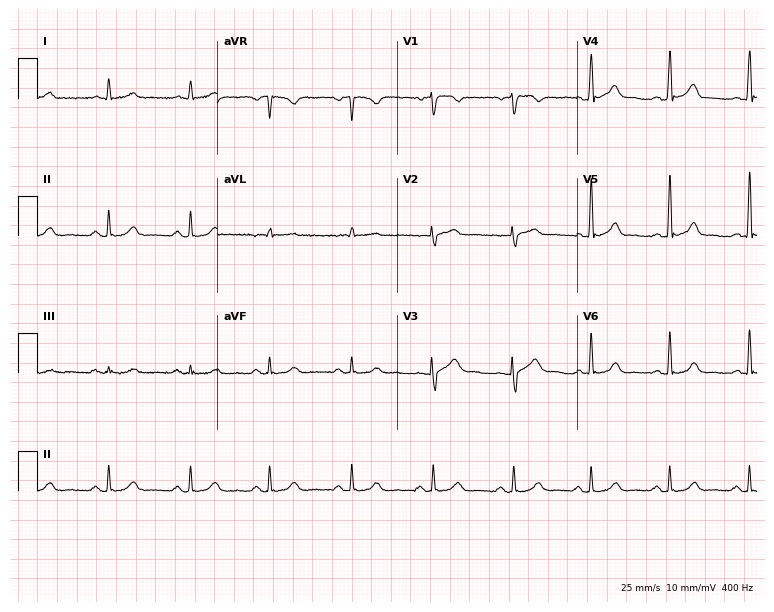
12-lead ECG from a 56-year-old man. Recorded interpretation: within normal limits.